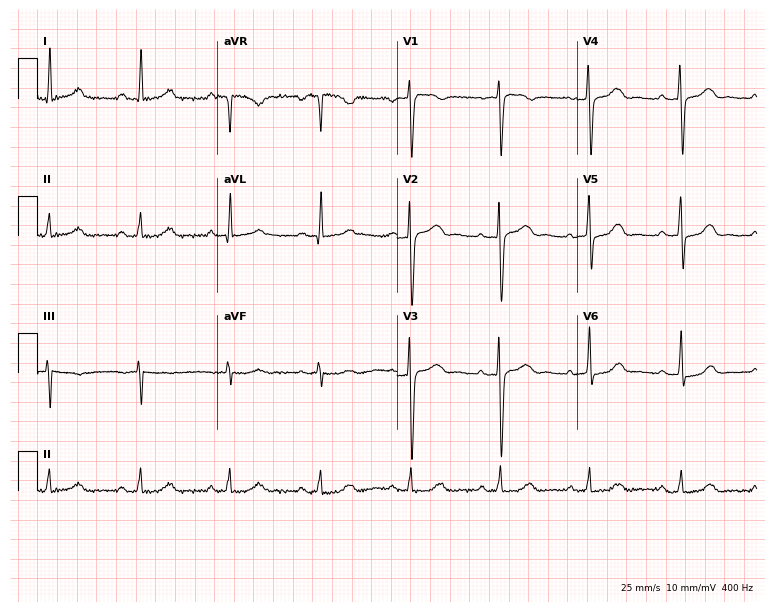
Standard 12-lead ECG recorded from a 50-year-old female patient. Read as a normal ECG.